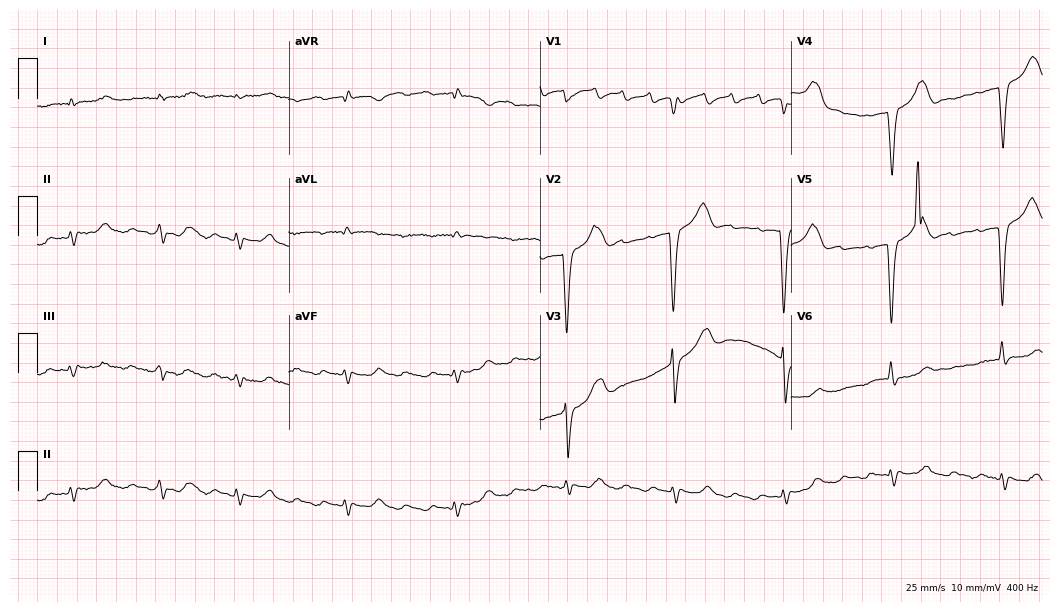
Electrocardiogram (10.2-second recording at 400 Hz), a male patient, 85 years old. Of the six screened findings (first-degree AV block, right bundle branch block (RBBB), left bundle branch block (LBBB), sinus bradycardia, atrial fibrillation (AF), sinus tachycardia), none is recorded.